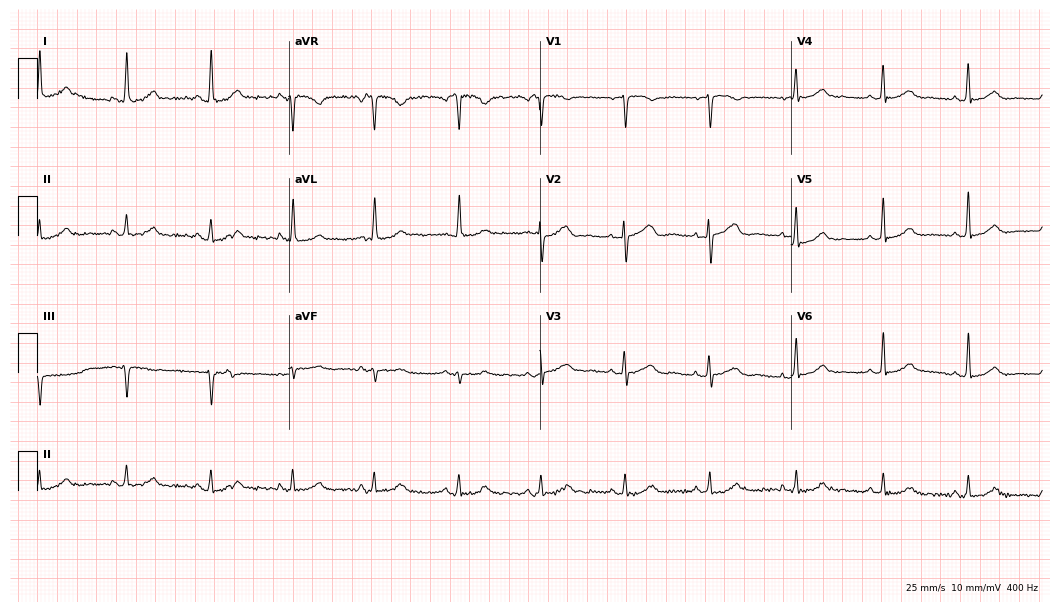
Resting 12-lead electrocardiogram (10.2-second recording at 400 Hz). Patient: a 54-year-old female. Read as a normal ECG.